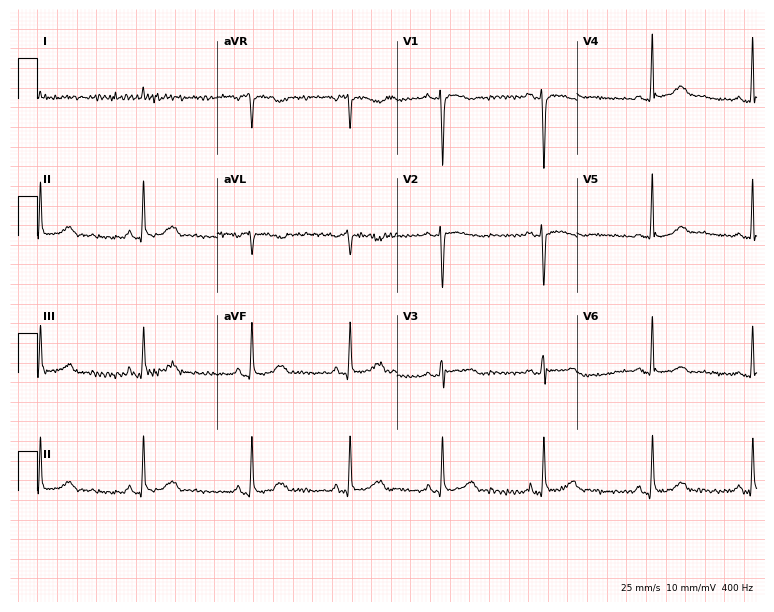
Standard 12-lead ECG recorded from a 67-year-old woman (7.3-second recording at 400 Hz). None of these six findings is recorded: first-degree AV block, right bundle branch block, left bundle branch block, sinus bradycardia, atrial fibrillation, sinus tachycardia.